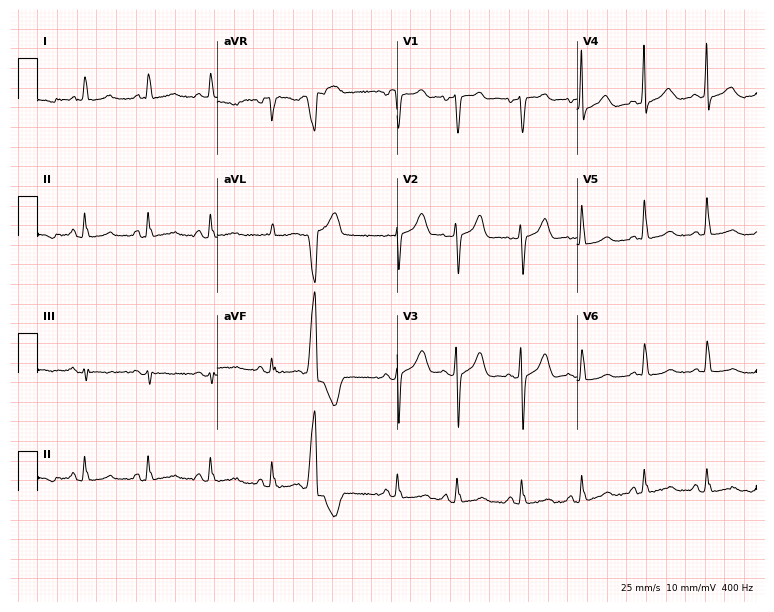
Electrocardiogram, an 83-year-old female patient. Of the six screened findings (first-degree AV block, right bundle branch block, left bundle branch block, sinus bradycardia, atrial fibrillation, sinus tachycardia), none is recorded.